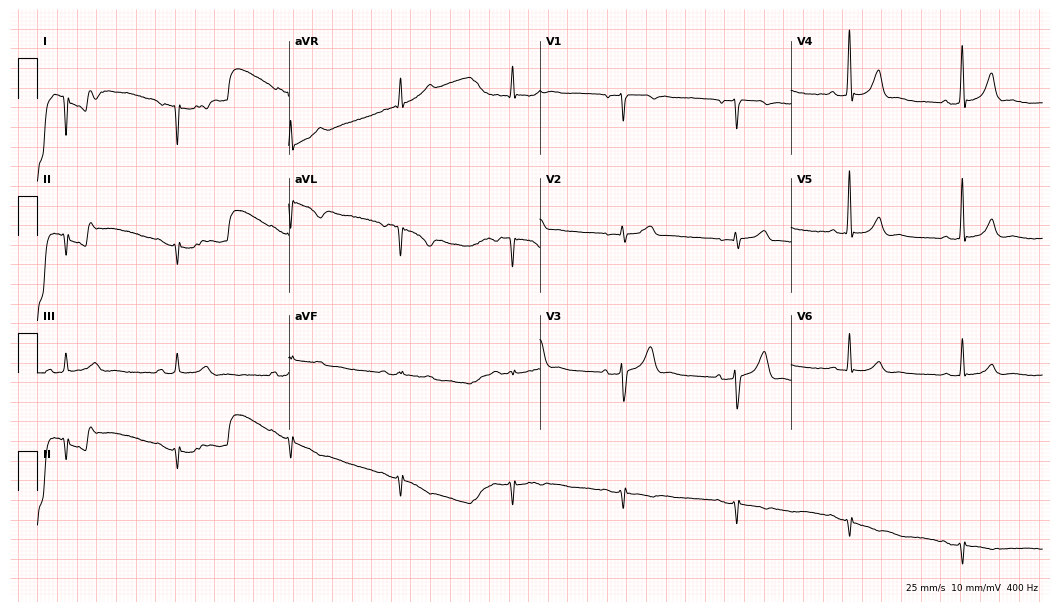
Resting 12-lead electrocardiogram. Patient: a man, 24 years old. None of these six findings is recorded: first-degree AV block, right bundle branch block, left bundle branch block, sinus bradycardia, atrial fibrillation, sinus tachycardia. Other findings, if any, are not listed.